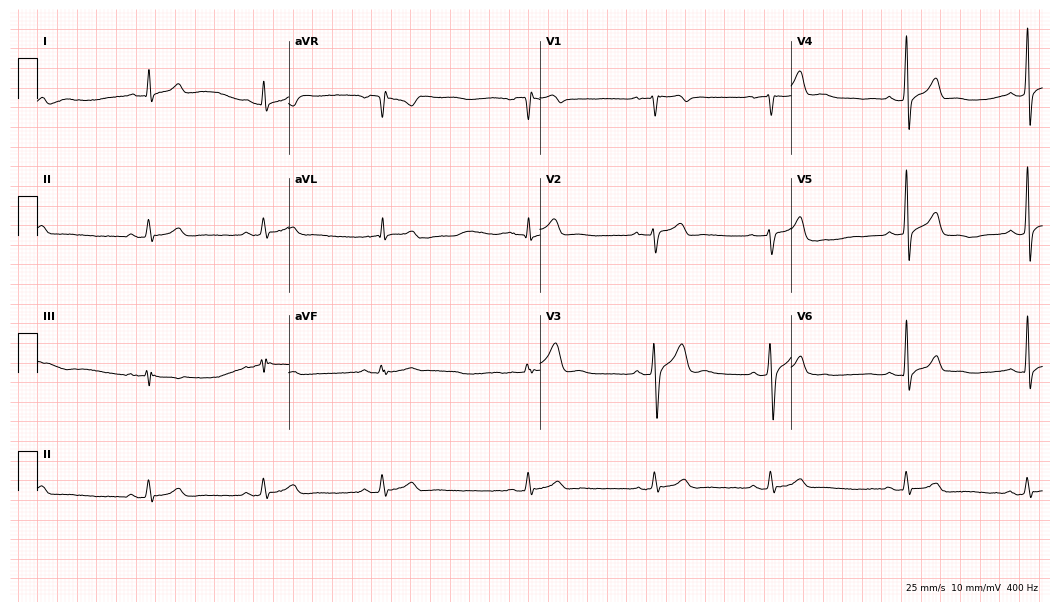
ECG (10.2-second recording at 400 Hz) — a male, 30 years old. Findings include sinus bradycardia (a sinus rate of 50 beats per minute or less).